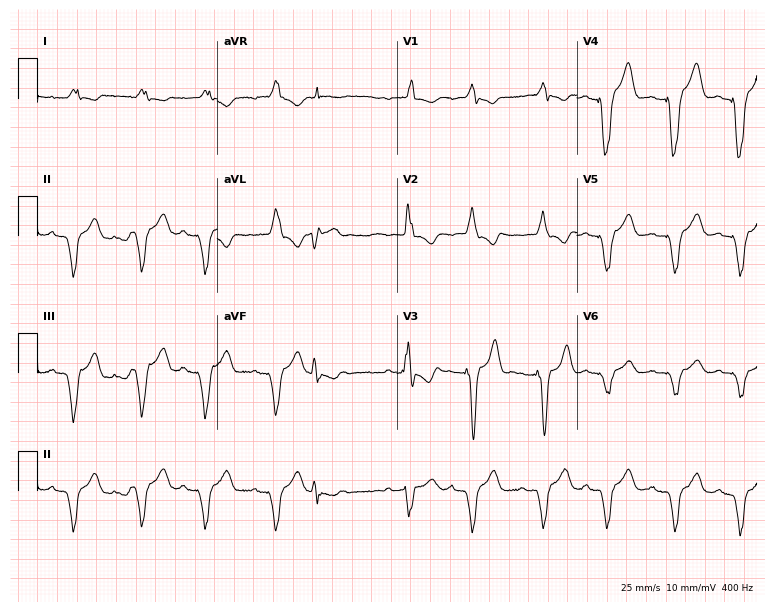
Resting 12-lead electrocardiogram. Patient: a 42-year-old female. None of these six findings is recorded: first-degree AV block, right bundle branch block, left bundle branch block, sinus bradycardia, atrial fibrillation, sinus tachycardia. Only these six findings were labelled.